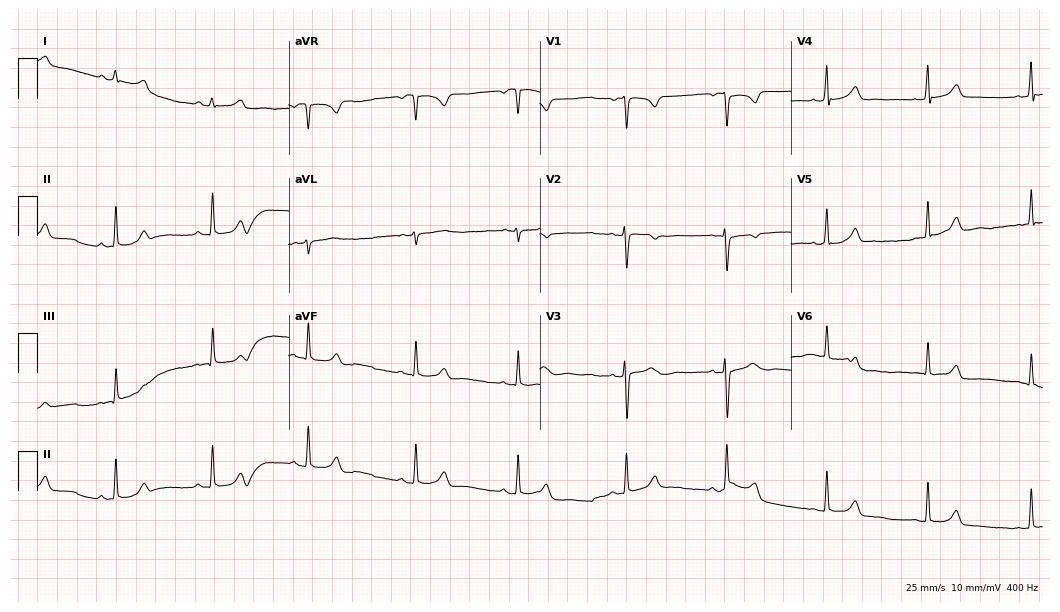
Standard 12-lead ECG recorded from a female patient, 17 years old. Read as a normal ECG.